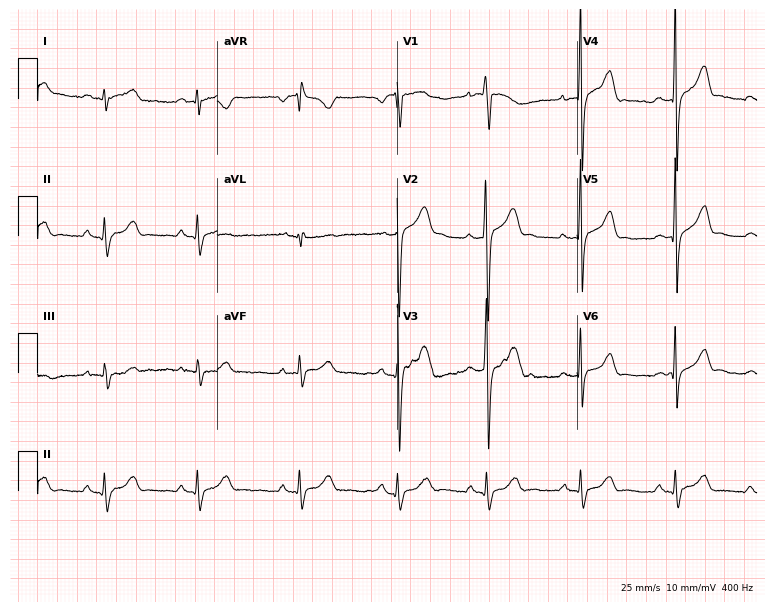
12-lead ECG (7.3-second recording at 400 Hz) from a man, 24 years old. Labelled as a normal ECG.